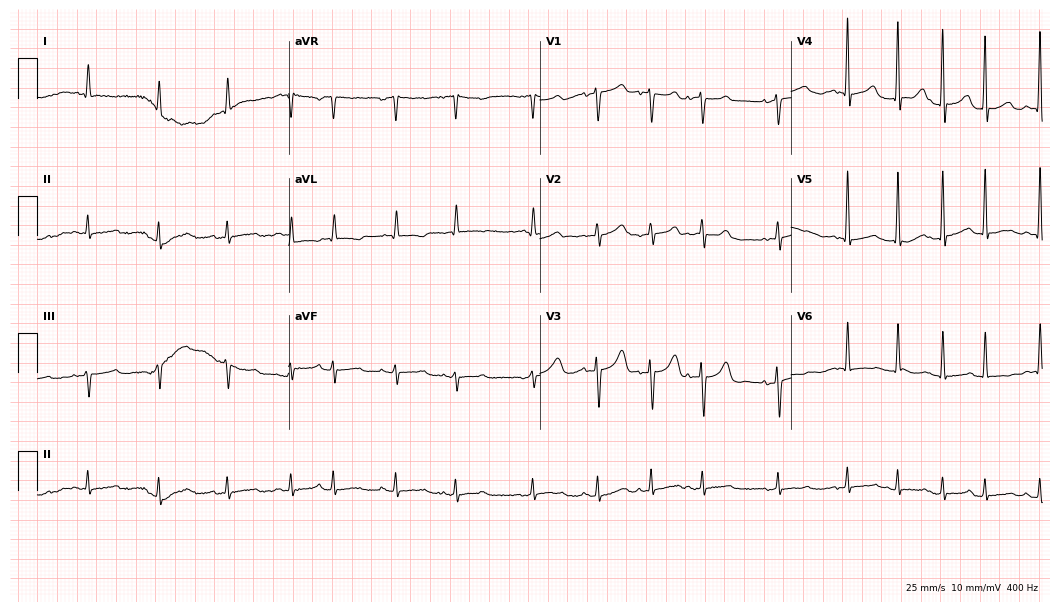
Resting 12-lead electrocardiogram (10.2-second recording at 400 Hz). Patient: a female, 79 years old. None of these six findings is recorded: first-degree AV block, right bundle branch block (RBBB), left bundle branch block (LBBB), sinus bradycardia, atrial fibrillation (AF), sinus tachycardia. Other findings, if any, are not listed.